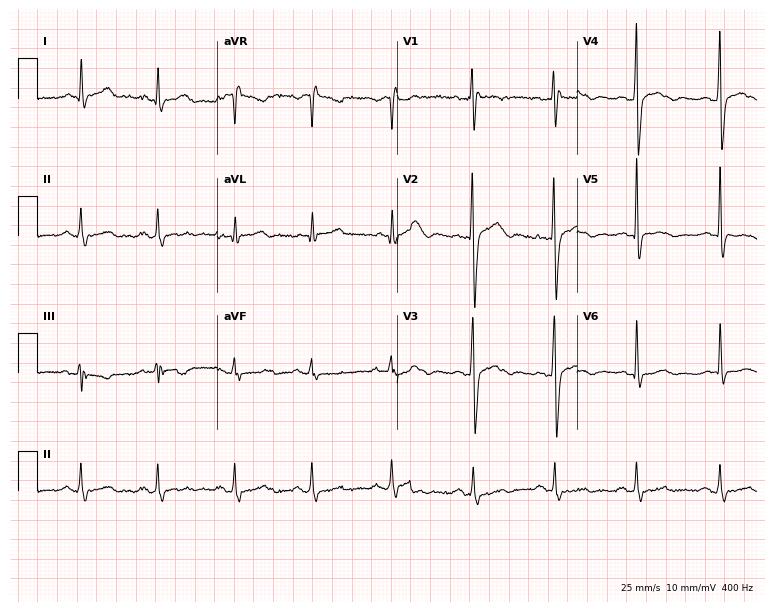
Resting 12-lead electrocardiogram (7.3-second recording at 400 Hz). Patient: a 46-year-old man. None of these six findings is recorded: first-degree AV block, right bundle branch block, left bundle branch block, sinus bradycardia, atrial fibrillation, sinus tachycardia. Only these six findings were labelled.